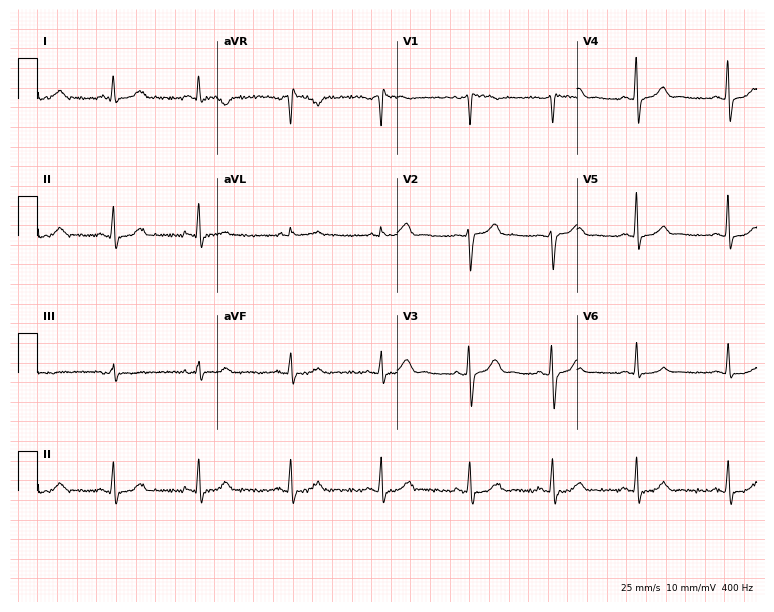
Resting 12-lead electrocardiogram (7.3-second recording at 400 Hz). Patient: a 62-year-old female. None of these six findings is recorded: first-degree AV block, right bundle branch block, left bundle branch block, sinus bradycardia, atrial fibrillation, sinus tachycardia. Only these six findings were labelled.